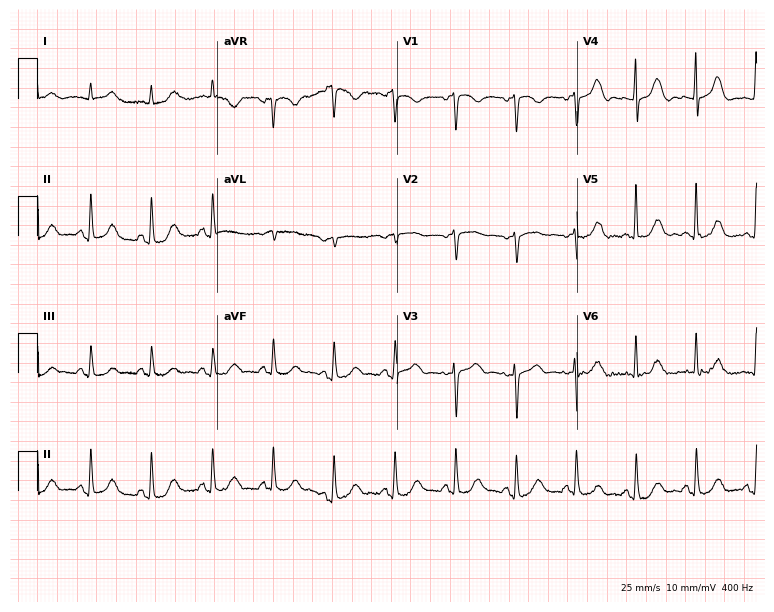
Electrocardiogram, a female, 69 years old. Overall reading on record: normal ECG.